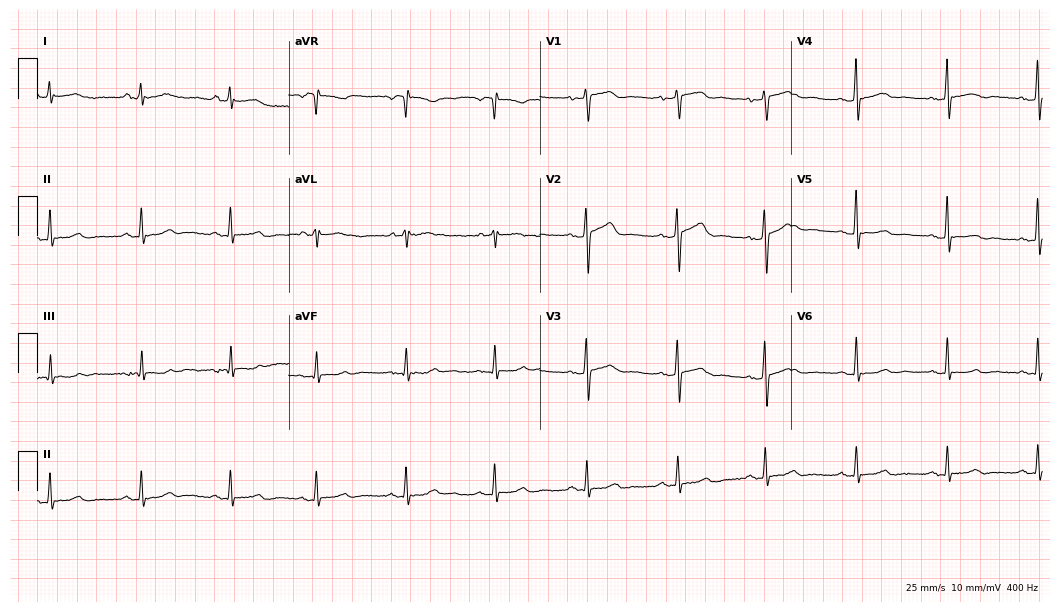
Standard 12-lead ECG recorded from a woman, 55 years old (10.2-second recording at 400 Hz). Read as a normal ECG.